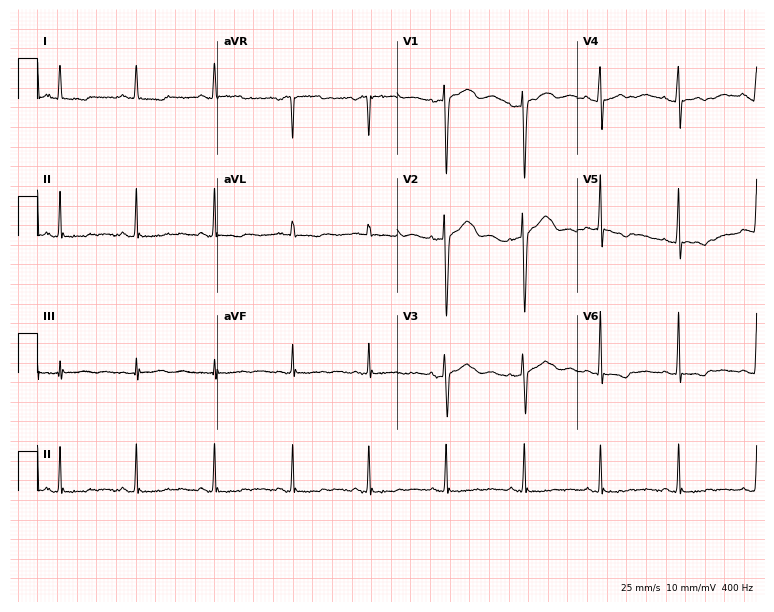
ECG — a female patient, 61 years old. Screened for six findings — first-degree AV block, right bundle branch block, left bundle branch block, sinus bradycardia, atrial fibrillation, sinus tachycardia — none is recorded.